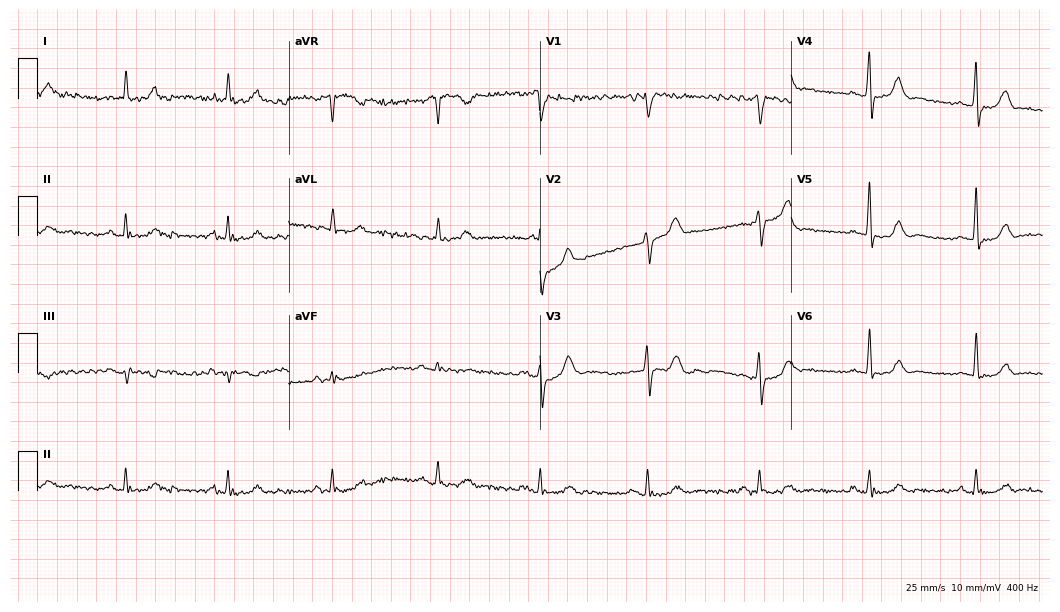
12-lead ECG (10.2-second recording at 400 Hz) from a man, 59 years old. Screened for six findings — first-degree AV block, right bundle branch block, left bundle branch block, sinus bradycardia, atrial fibrillation, sinus tachycardia — none is recorded. Only these six findings were labelled.